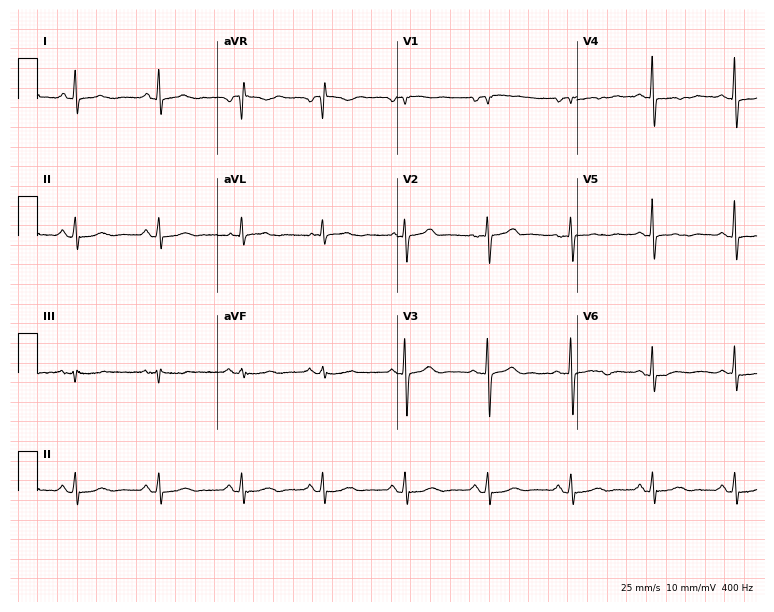
12-lead ECG (7.3-second recording at 400 Hz) from a 50-year-old woman. Screened for six findings — first-degree AV block, right bundle branch block, left bundle branch block, sinus bradycardia, atrial fibrillation, sinus tachycardia — none is recorded. Only these six findings were labelled.